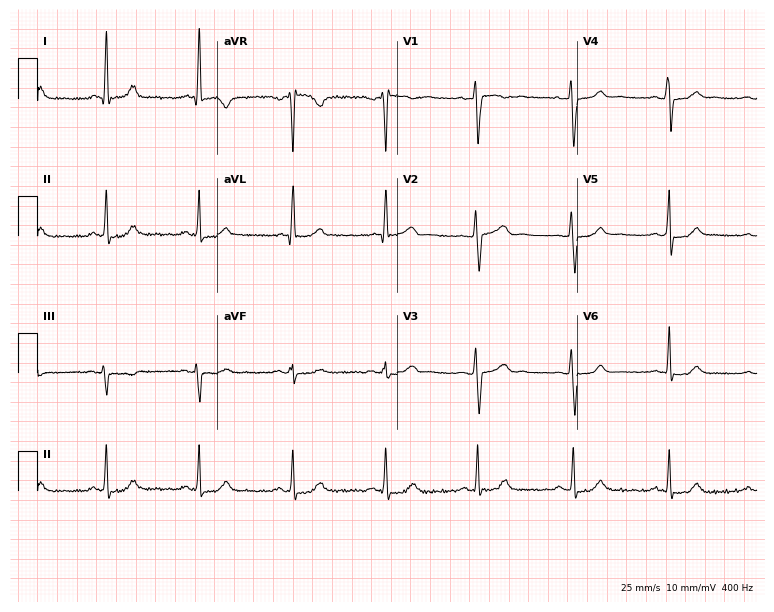
12-lead ECG from a woman, 37 years old. No first-degree AV block, right bundle branch block, left bundle branch block, sinus bradycardia, atrial fibrillation or sinus tachycardia recorded for this tracing. Only these six findings were labelled.